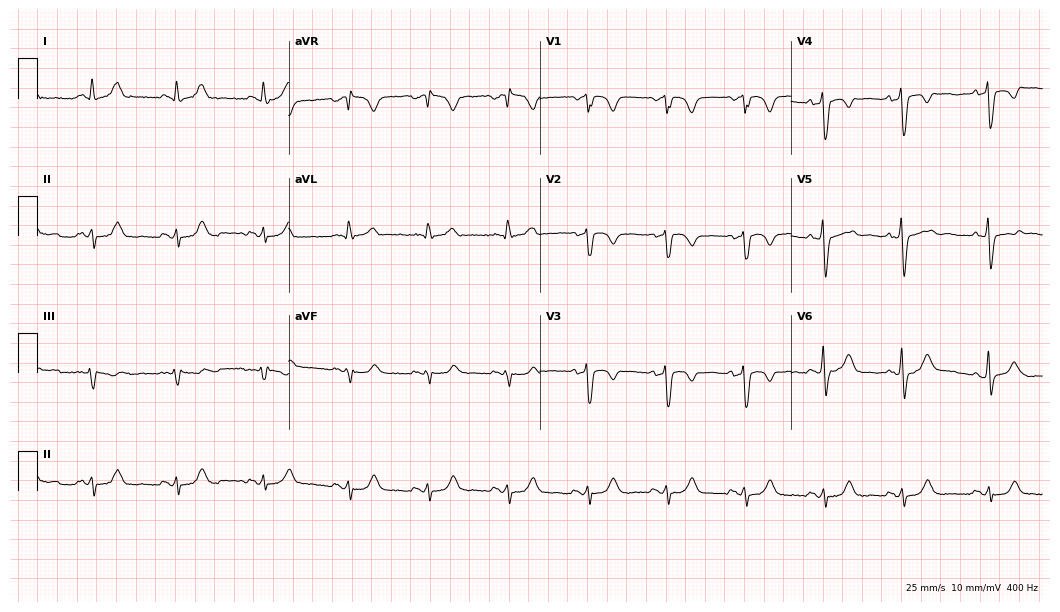
ECG — a 46-year-old female patient. Screened for six findings — first-degree AV block, right bundle branch block, left bundle branch block, sinus bradycardia, atrial fibrillation, sinus tachycardia — none is recorded.